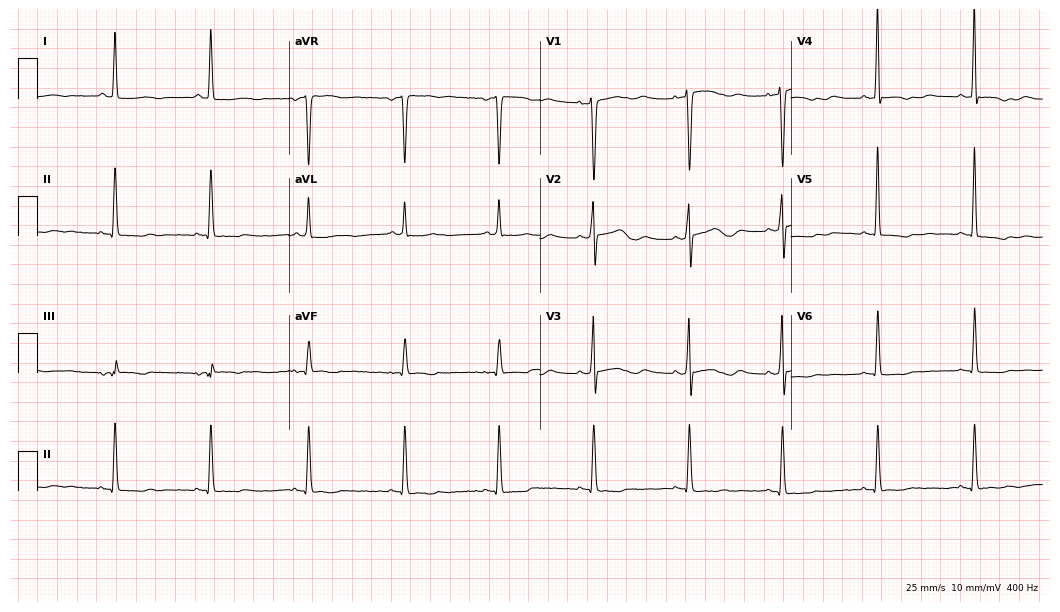
Standard 12-lead ECG recorded from a female, 60 years old (10.2-second recording at 400 Hz). None of these six findings is recorded: first-degree AV block, right bundle branch block, left bundle branch block, sinus bradycardia, atrial fibrillation, sinus tachycardia.